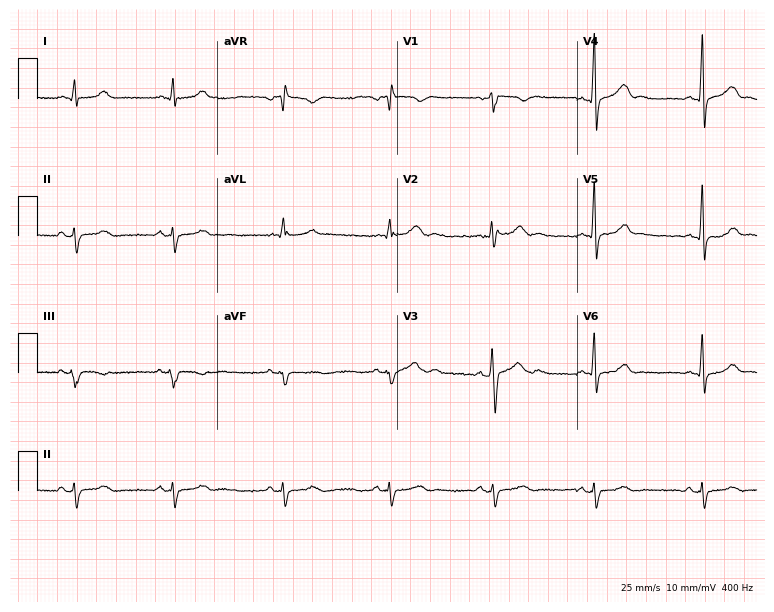
12-lead ECG from a man, 37 years old. No first-degree AV block, right bundle branch block, left bundle branch block, sinus bradycardia, atrial fibrillation or sinus tachycardia recorded for this tracing.